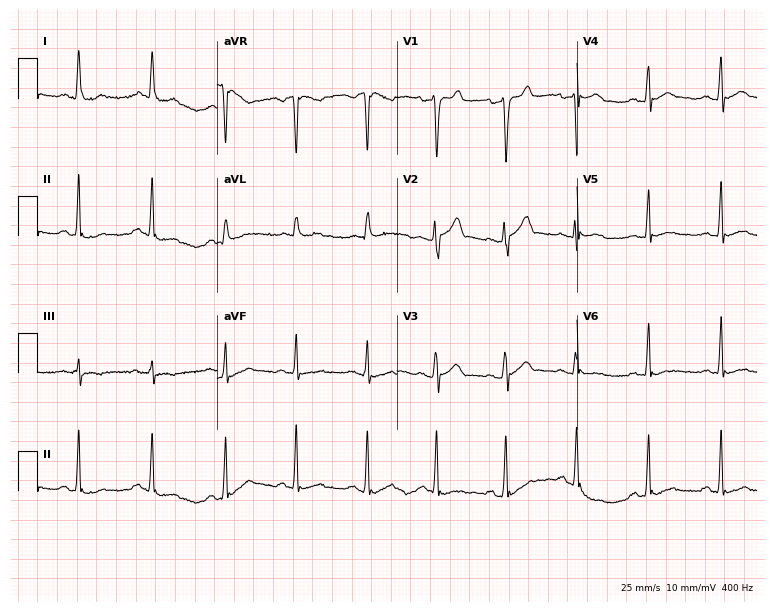
Resting 12-lead electrocardiogram (7.3-second recording at 400 Hz). Patient: a male, 30 years old. Read as a normal ECG.